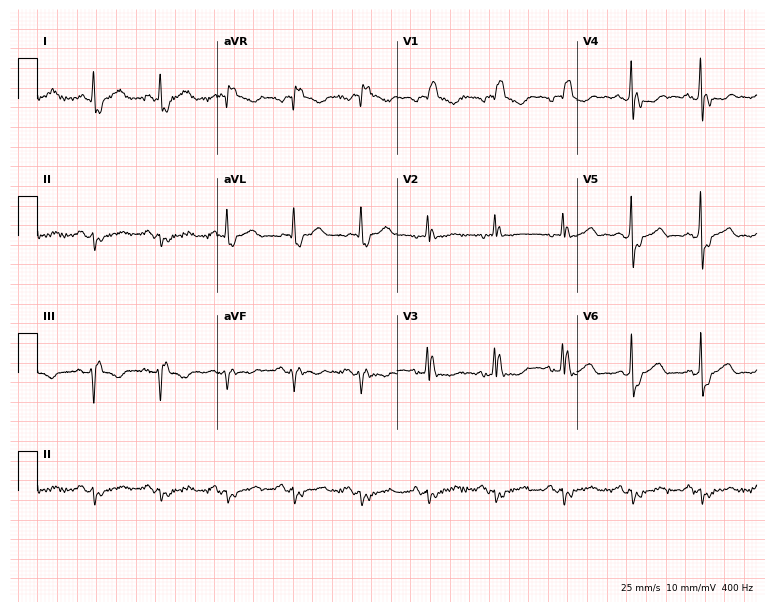
Electrocardiogram (7.3-second recording at 400 Hz), a female patient, 73 years old. Interpretation includes right bundle branch block.